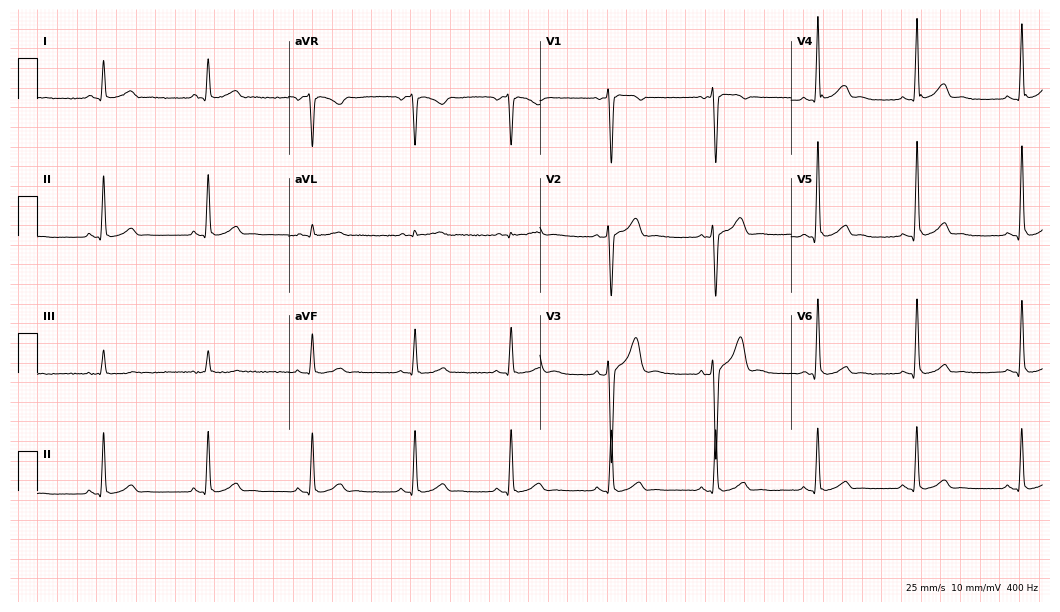
Resting 12-lead electrocardiogram. Patient: a 37-year-old male. None of these six findings is recorded: first-degree AV block, right bundle branch block, left bundle branch block, sinus bradycardia, atrial fibrillation, sinus tachycardia.